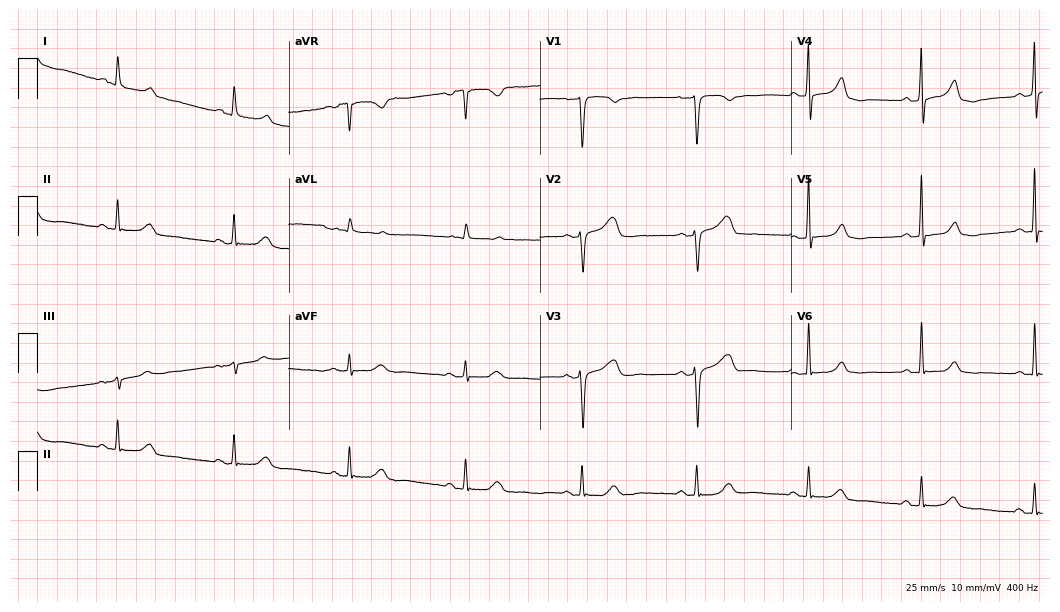
Electrocardiogram (10.2-second recording at 400 Hz), a female patient, 73 years old. Of the six screened findings (first-degree AV block, right bundle branch block (RBBB), left bundle branch block (LBBB), sinus bradycardia, atrial fibrillation (AF), sinus tachycardia), none is recorded. Only these six findings were labelled.